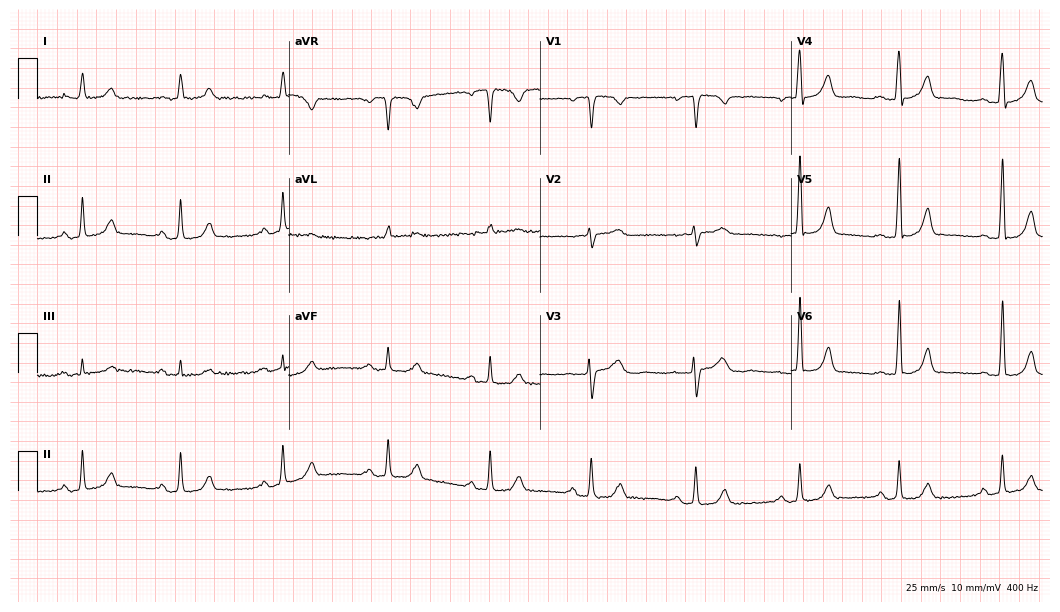
Standard 12-lead ECG recorded from a woman, 67 years old (10.2-second recording at 400 Hz). None of these six findings is recorded: first-degree AV block, right bundle branch block, left bundle branch block, sinus bradycardia, atrial fibrillation, sinus tachycardia.